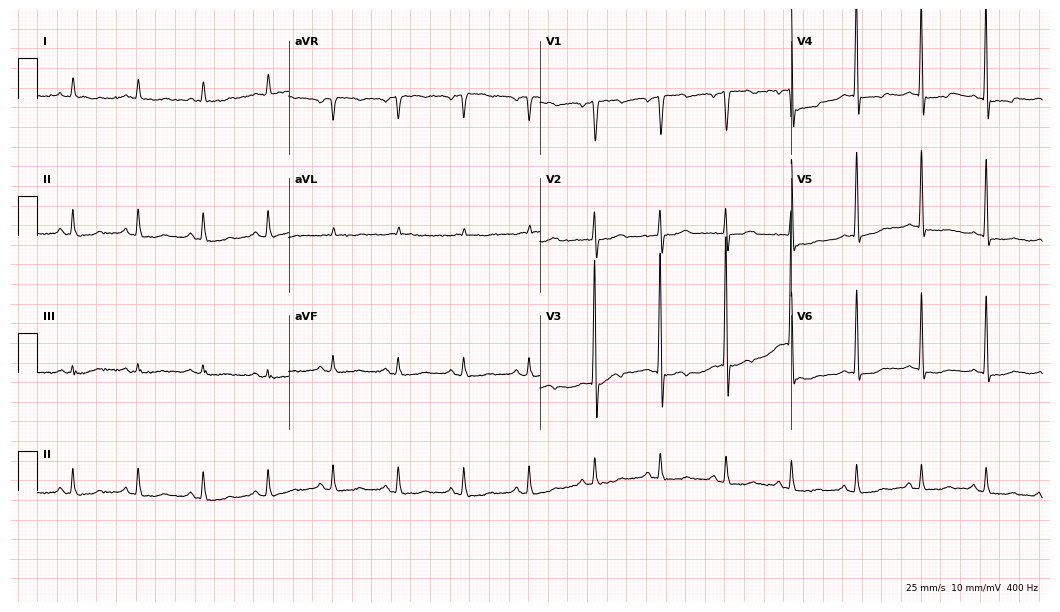
Standard 12-lead ECG recorded from a man, 72 years old. None of these six findings is recorded: first-degree AV block, right bundle branch block (RBBB), left bundle branch block (LBBB), sinus bradycardia, atrial fibrillation (AF), sinus tachycardia.